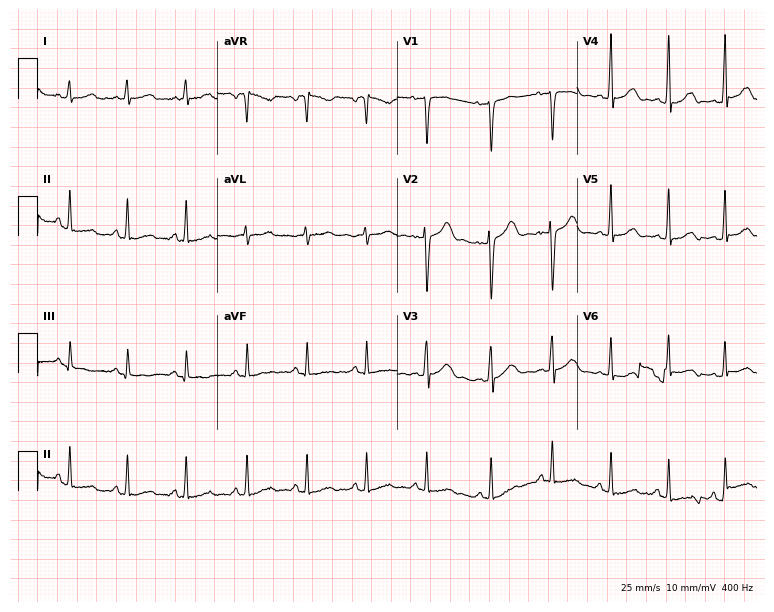
Resting 12-lead electrocardiogram (7.3-second recording at 400 Hz). Patient: a woman, 22 years old. Read as a normal ECG.